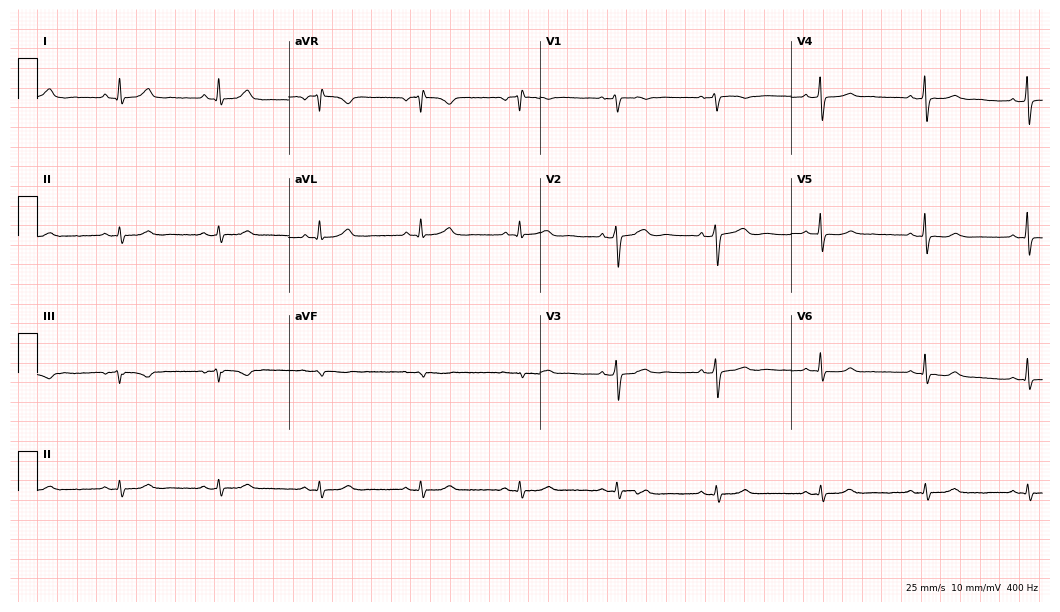
Resting 12-lead electrocardiogram (10.2-second recording at 400 Hz). Patient: a 56-year-old male. None of these six findings is recorded: first-degree AV block, right bundle branch block, left bundle branch block, sinus bradycardia, atrial fibrillation, sinus tachycardia.